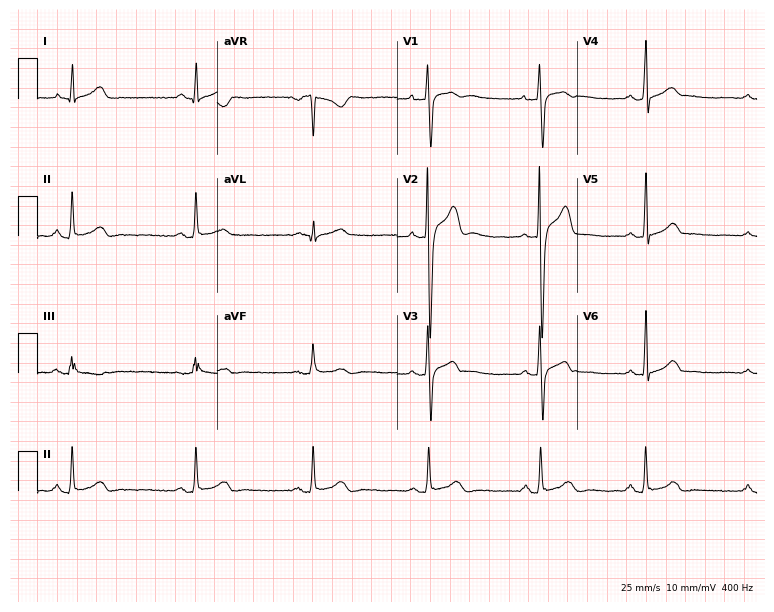
12-lead ECG from a man, 24 years old. Recorded interpretation: within normal limits.